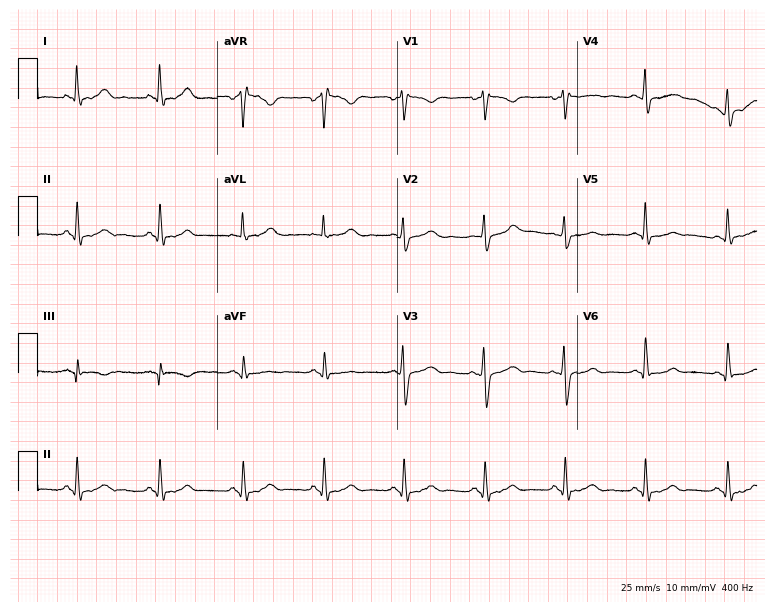
Resting 12-lead electrocardiogram. Patient: a 35-year-old female. Read as a normal ECG.